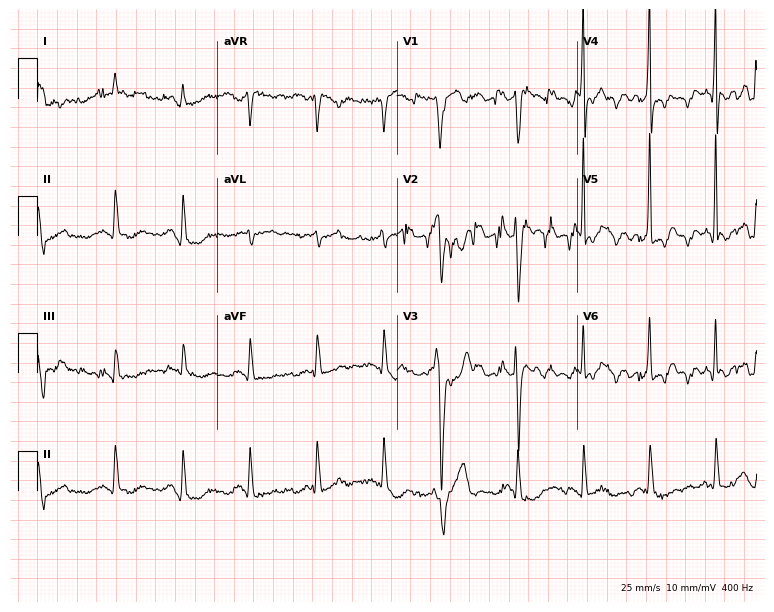
12-lead ECG from an 85-year-old man. Screened for six findings — first-degree AV block, right bundle branch block, left bundle branch block, sinus bradycardia, atrial fibrillation, sinus tachycardia — none is recorded.